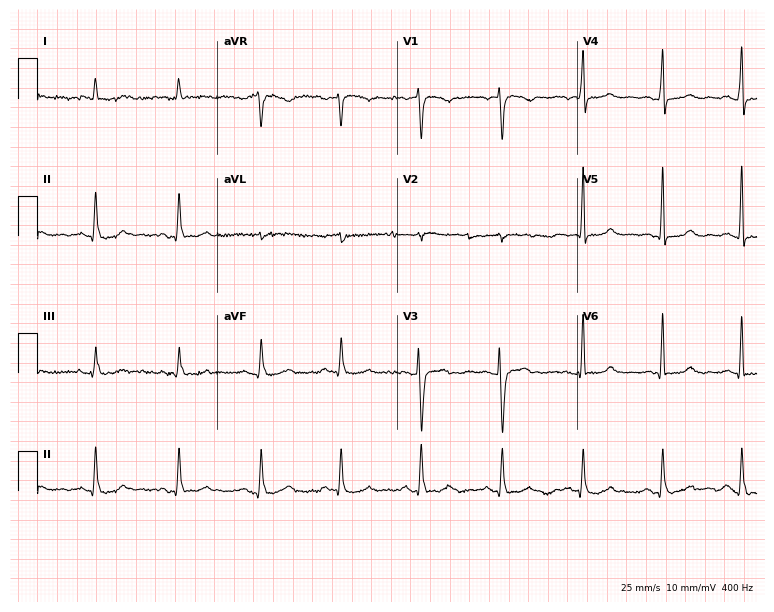
Electrocardiogram (7.3-second recording at 400 Hz), a 48-year-old woman. Of the six screened findings (first-degree AV block, right bundle branch block, left bundle branch block, sinus bradycardia, atrial fibrillation, sinus tachycardia), none is recorded.